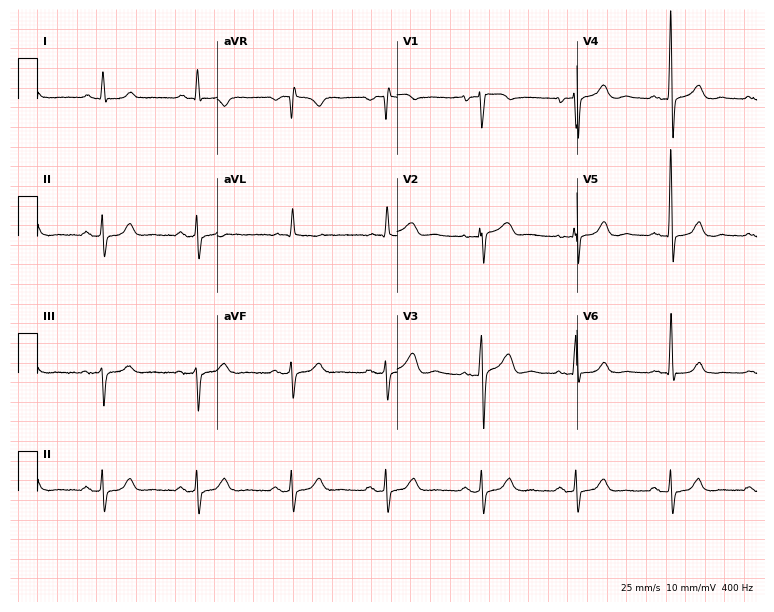
Standard 12-lead ECG recorded from a male patient, 74 years old (7.3-second recording at 400 Hz). Read as a normal ECG.